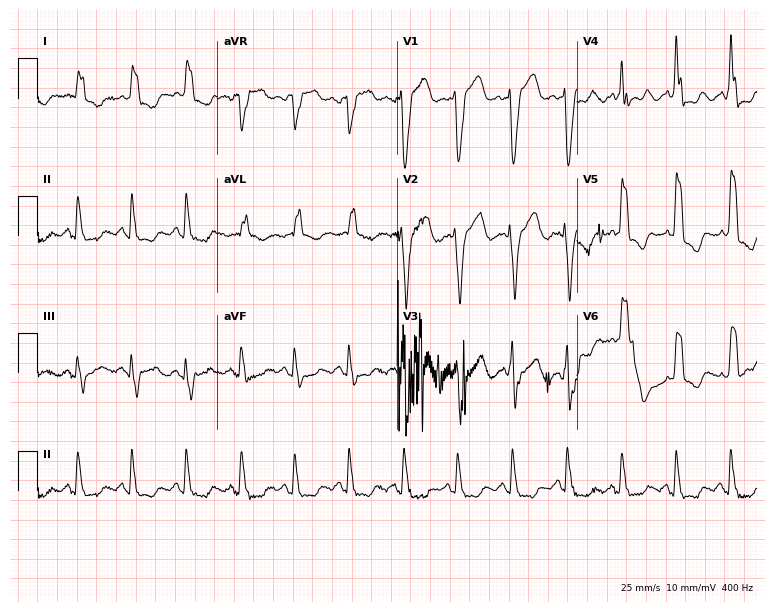
12-lead ECG from a 65-year-old man. Shows left bundle branch block (LBBB), sinus tachycardia (a sinus rate of 100 beats per minute or more).